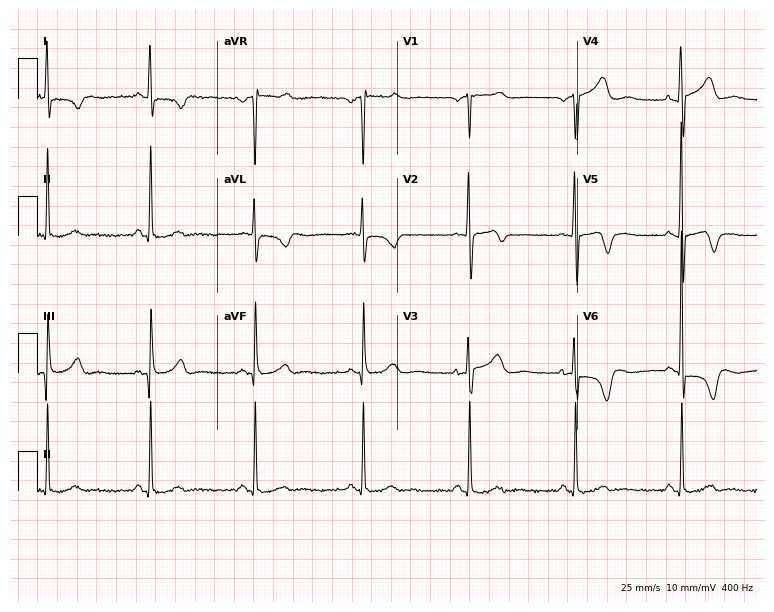
Standard 12-lead ECG recorded from an 80-year-old woman (7.3-second recording at 400 Hz). None of these six findings is recorded: first-degree AV block, right bundle branch block (RBBB), left bundle branch block (LBBB), sinus bradycardia, atrial fibrillation (AF), sinus tachycardia. Findings outside these six are not listed.